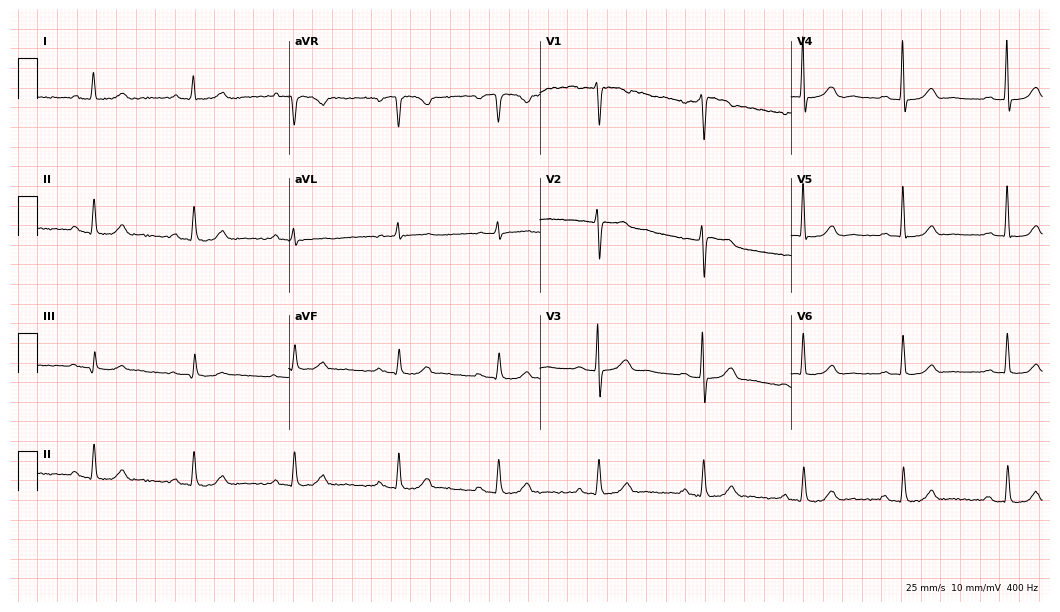
Resting 12-lead electrocardiogram (10.2-second recording at 400 Hz). Patient: an 81-year-old female. Read as a normal ECG.